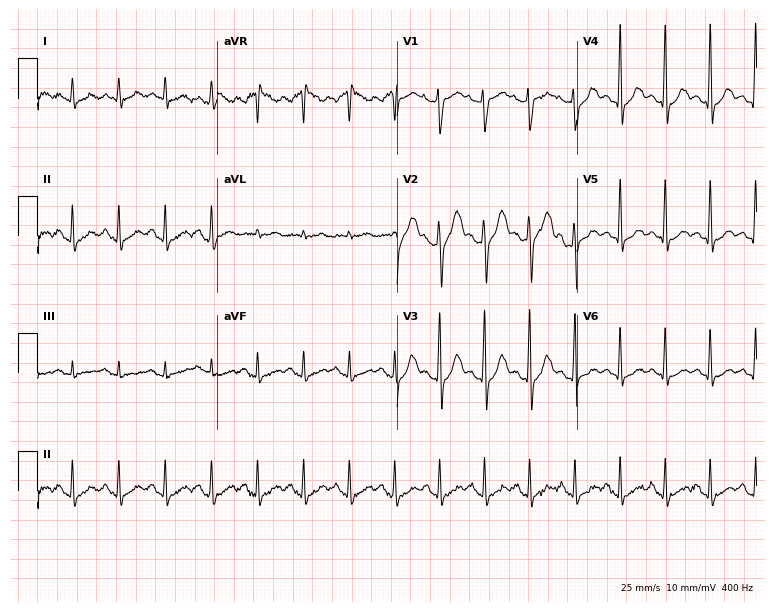
12-lead ECG from a male, 24 years old (7.3-second recording at 400 Hz). Shows sinus tachycardia (a sinus rate of 100 beats per minute or more).